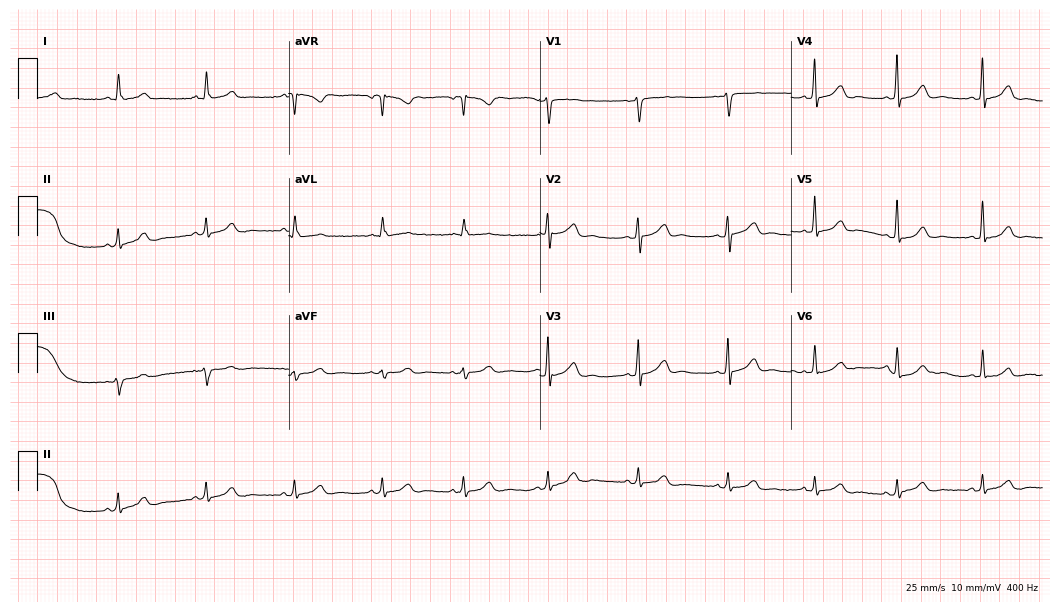
Standard 12-lead ECG recorded from a 44-year-old female patient. Read as a normal ECG.